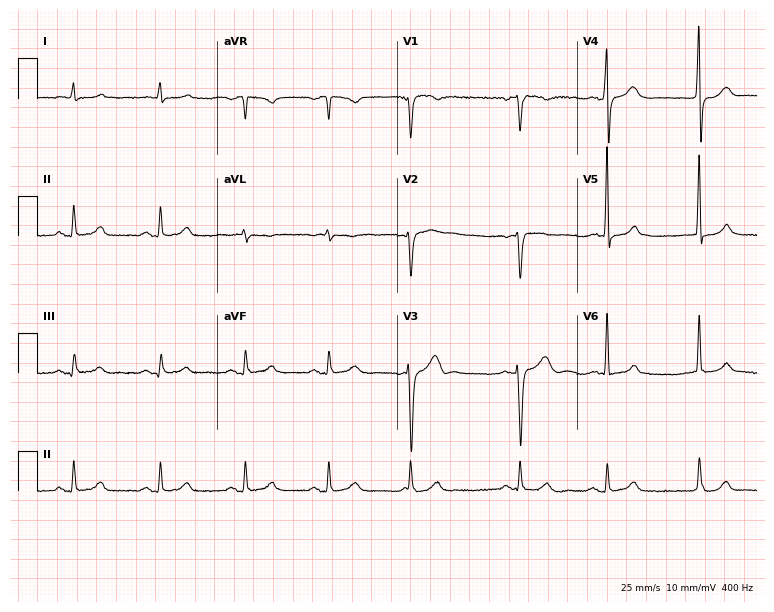
12-lead ECG from a male patient, 55 years old (7.3-second recording at 400 Hz). No first-degree AV block, right bundle branch block (RBBB), left bundle branch block (LBBB), sinus bradycardia, atrial fibrillation (AF) or sinus tachycardia recorded for this tracing. Findings outside these six are not listed.